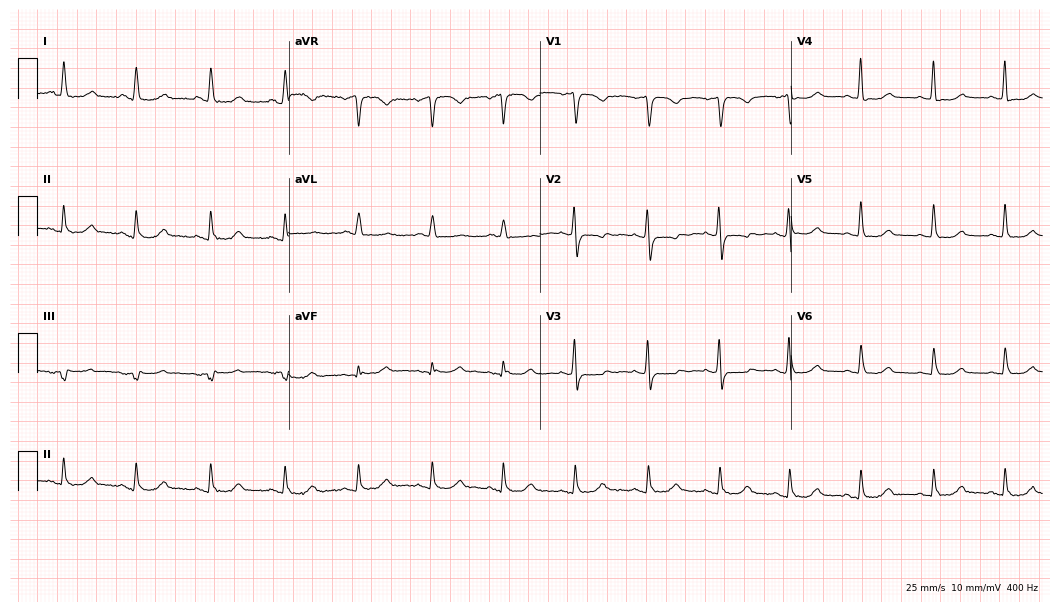
12-lead ECG from a woman, 78 years old. Screened for six findings — first-degree AV block, right bundle branch block, left bundle branch block, sinus bradycardia, atrial fibrillation, sinus tachycardia — none is recorded. Other findings, if any, are not listed.